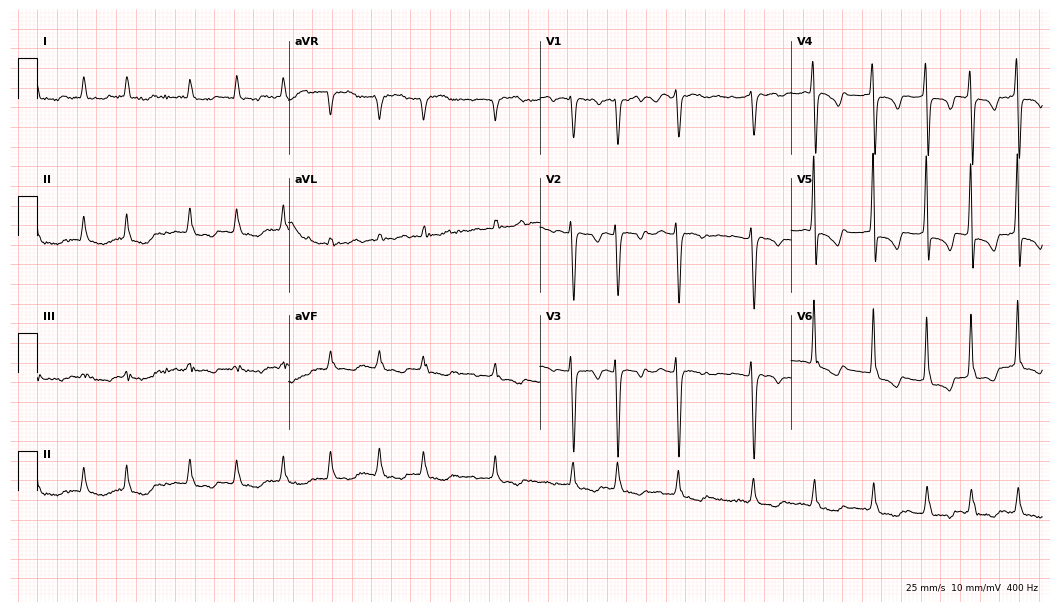
12-lead ECG (10.2-second recording at 400 Hz) from a woman, 74 years old. Findings include atrial fibrillation (AF).